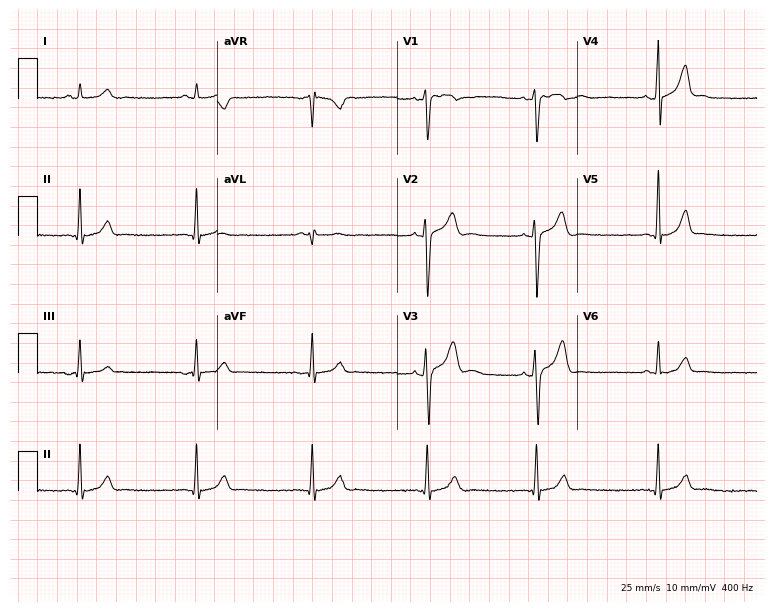
Electrocardiogram, a male patient, 28 years old. Overall reading on record: normal ECG.